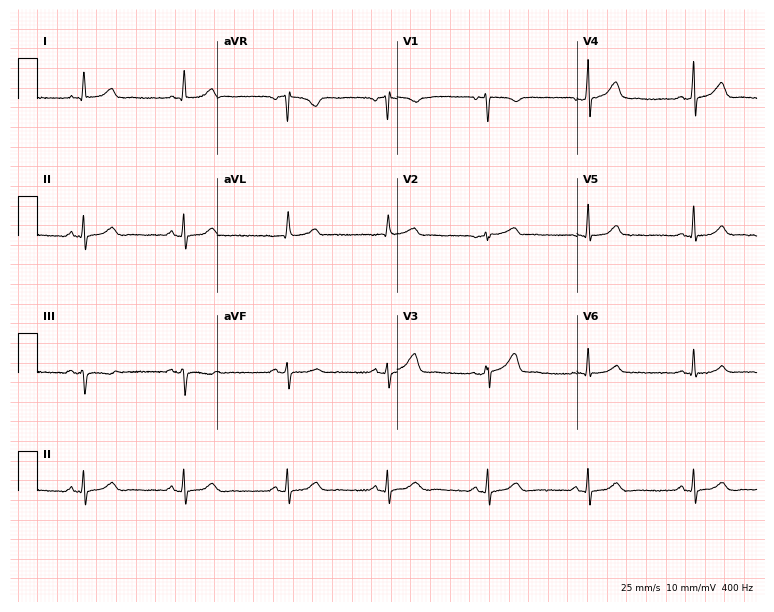
12-lead ECG from a 55-year-old female patient. Recorded interpretation: within normal limits.